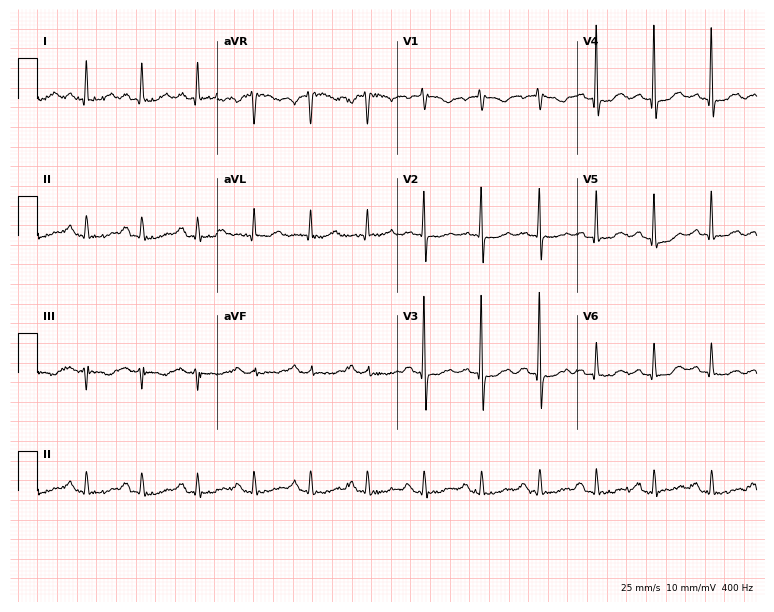
Electrocardiogram, a 70-year-old female. Interpretation includes sinus tachycardia (a sinus rate of 100 beats per minute or more).